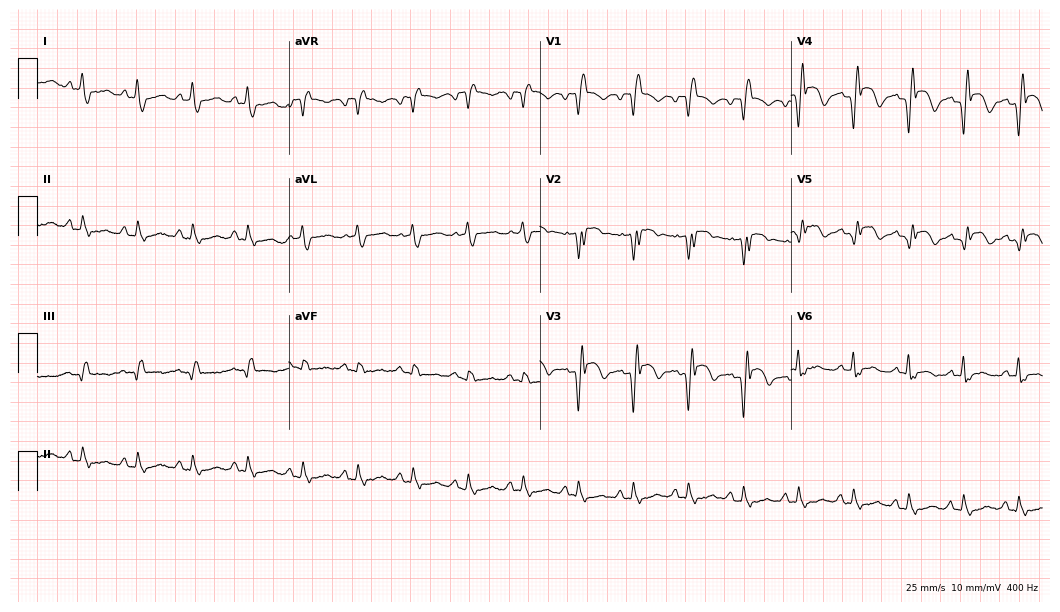
12-lead ECG from a 74-year-old man. Shows right bundle branch block (RBBB), sinus tachycardia (a sinus rate of 100 beats per minute or more).